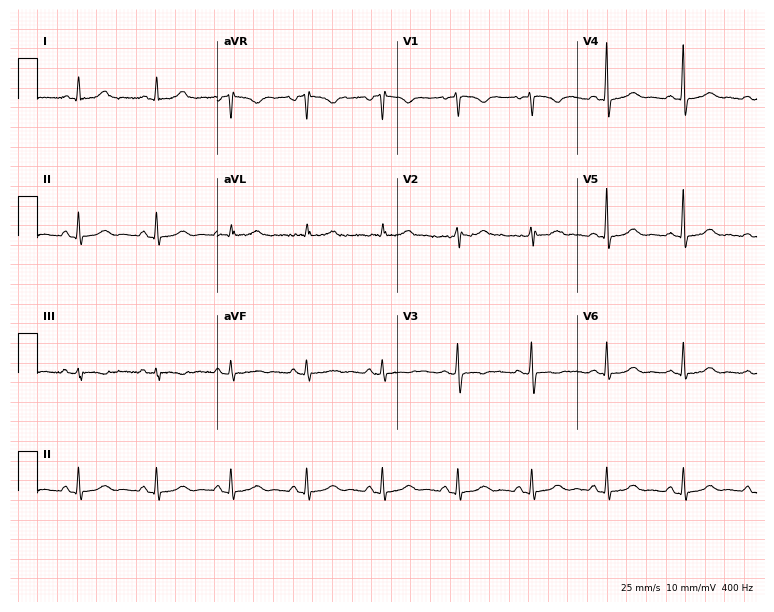
Resting 12-lead electrocardiogram (7.3-second recording at 400 Hz). Patient: a 36-year-old female. Read as a normal ECG.